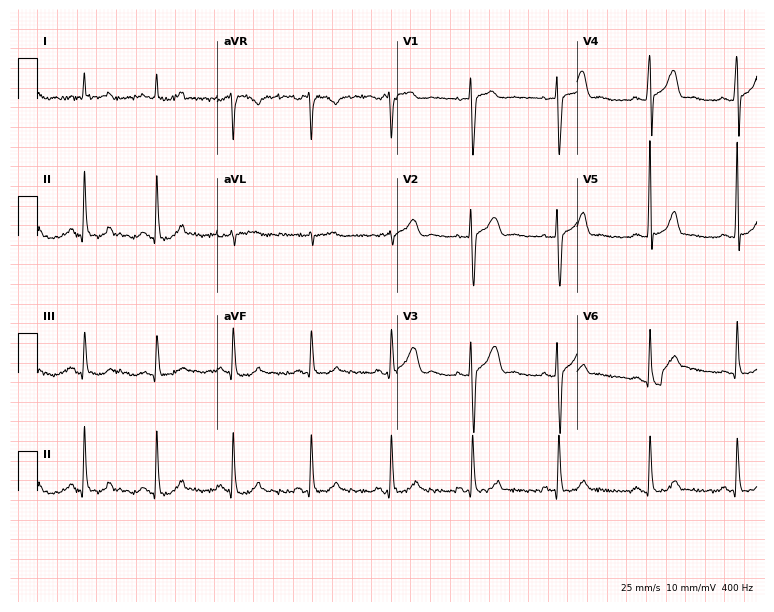
12-lead ECG from a female, 48 years old. Recorded interpretation: within normal limits.